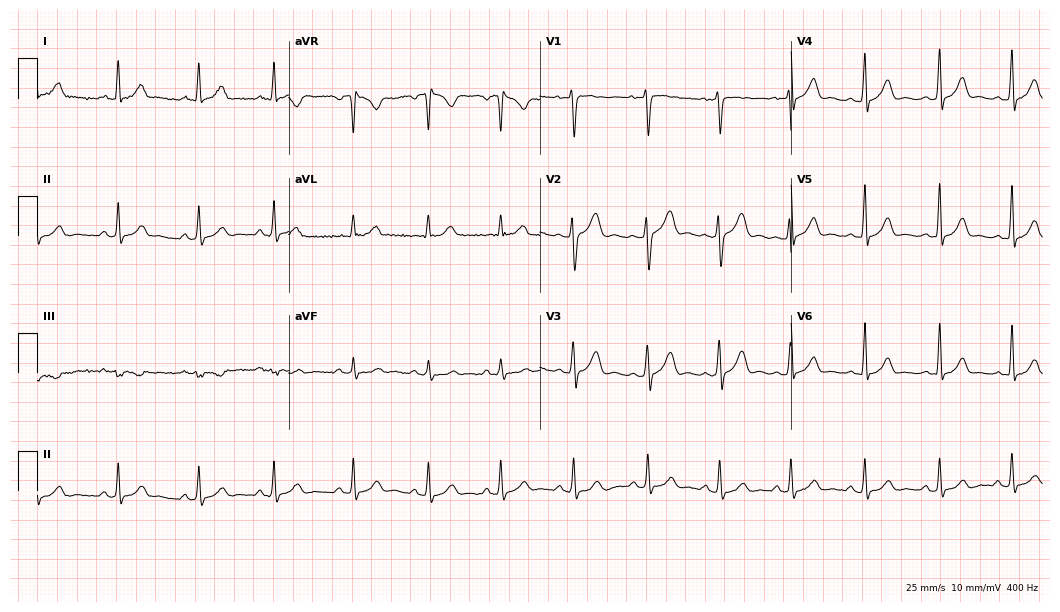
Resting 12-lead electrocardiogram (10.2-second recording at 400 Hz). Patient: a female, 35 years old. None of these six findings is recorded: first-degree AV block, right bundle branch block, left bundle branch block, sinus bradycardia, atrial fibrillation, sinus tachycardia.